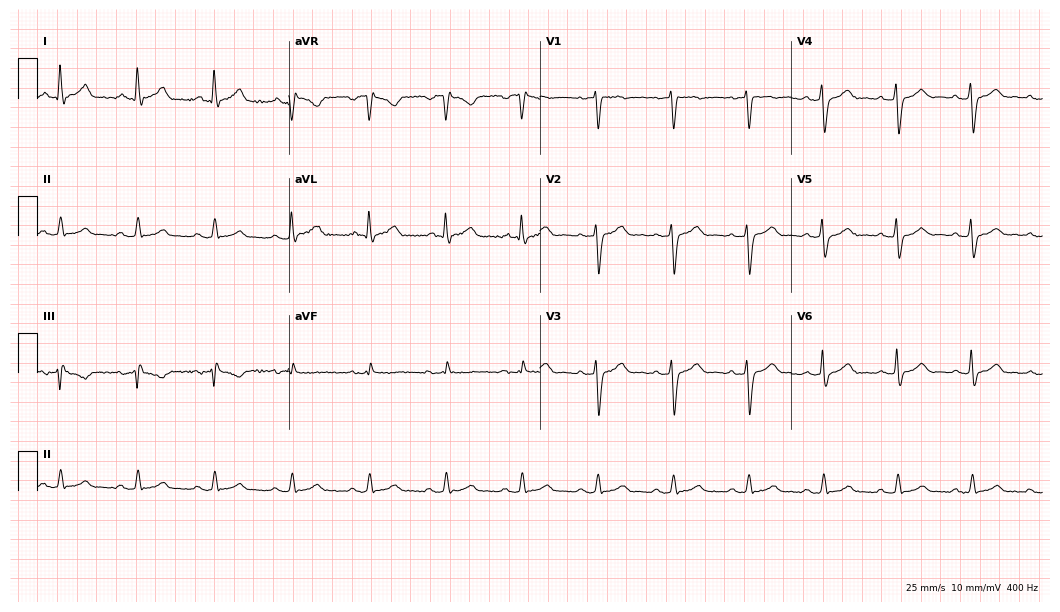
12-lead ECG from a man, 45 years old. Screened for six findings — first-degree AV block, right bundle branch block, left bundle branch block, sinus bradycardia, atrial fibrillation, sinus tachycardia — none is recorded. Other findings, if any, are not listed.